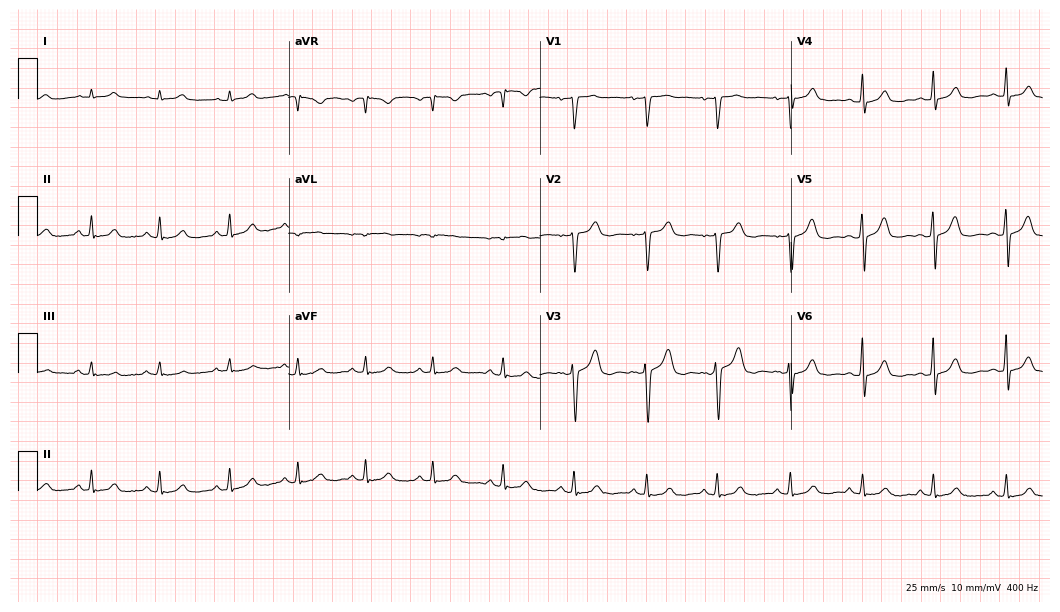
Resting 12-lead electrocardiogram (10.2-second recording at 400 Hz). Patient: a 41-year-old female. None of these six findings is recorded: first-degree AV block, right bundle branch block, left bundle branch block, sinus bradycardia, atrial fibrillation, sinus tachycardia.